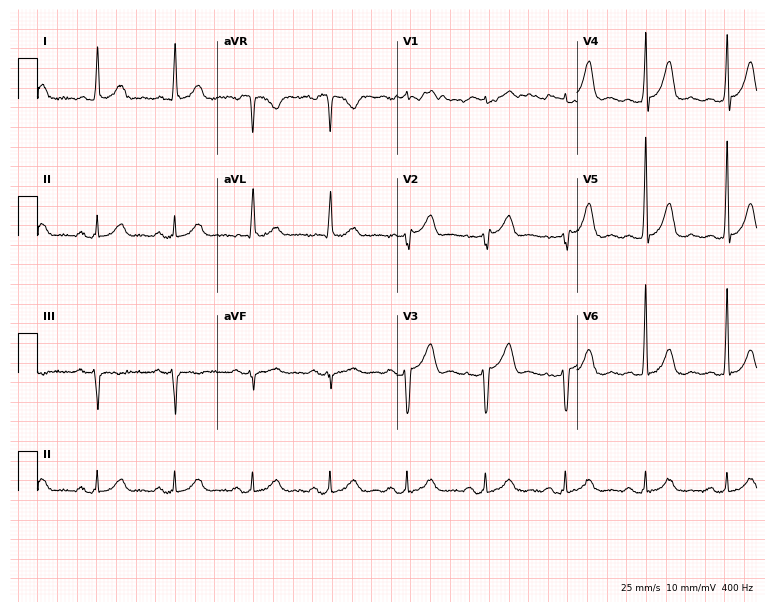
12-lead ECG from a male patient, 62 years old (7.3-second recording at 400 Hz). No first-degree AV block, right bundle branch block, left bundle branch block, sinus bradycardia, atrial fibrillation or sinus tachycardia recorded for this tracing.